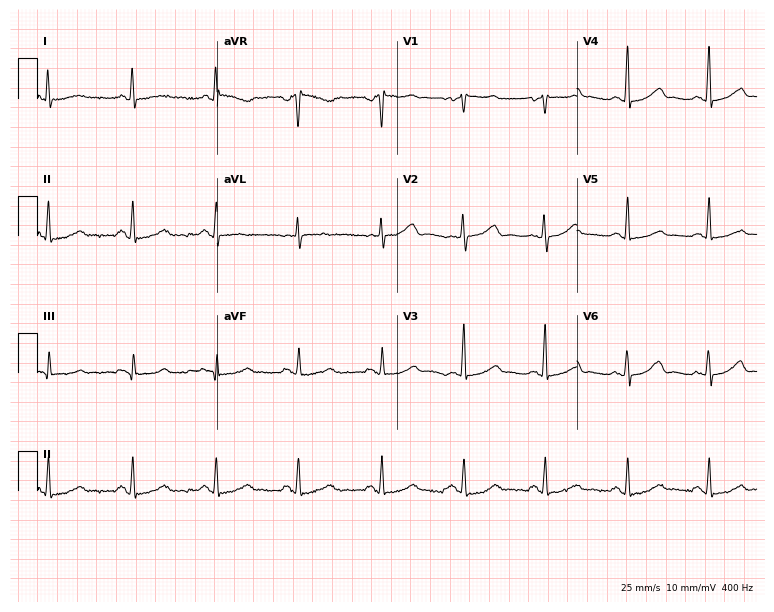
12-lead ECG (7.3-second recording at 400 Hz) from a 58-year-old female patient. Screened for six findings — first-degree AV block, right bundle branch block, left bundle branch block, sinus bradycardia, atrial fibrillation, sinus tachycardia — none is recorded. Findings outside these six are not listed.